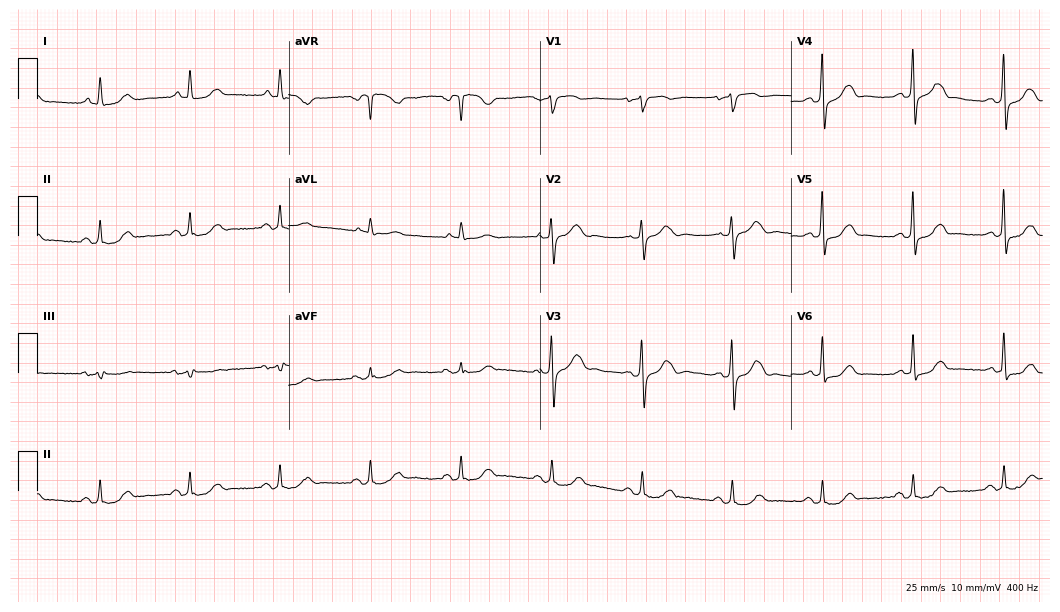
Standard 12-lead ECG recorded from a male patient, 78 years old (10.2-second recording at 400 Hz). None of these six findings is recorded: first-degree AV block, right bundle branch block, left bundle branch block, sinus bradycardia, atrial fibrillation, sinus tachycardia. Only these six findings were labelled.